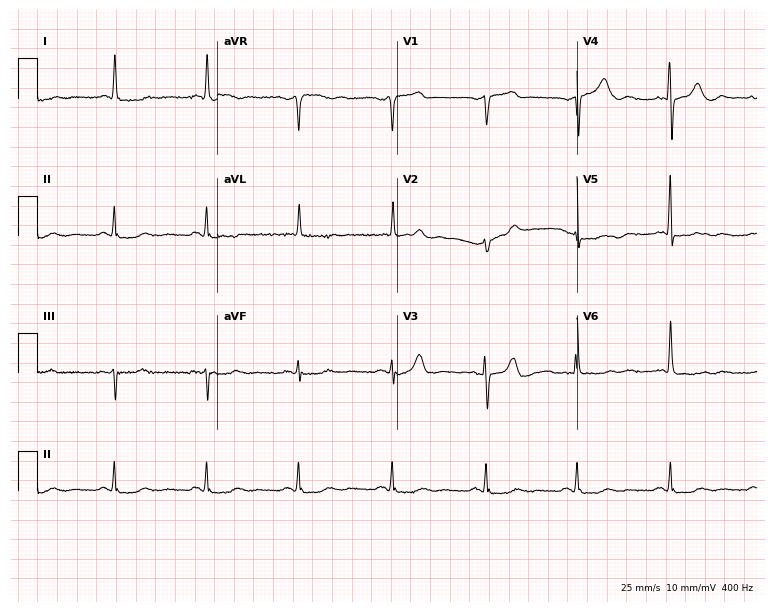
Electrocardiogram (7.3-second recording at 400 Hz), a female patient, 82 years old. Of the six screened findings (first-degree AV block, right bundle branch block, left bundle branch block, sinus bradycardia, atrial fibrillation, sinus tachycardia), none is recorded. Findings outside these six are not listed.